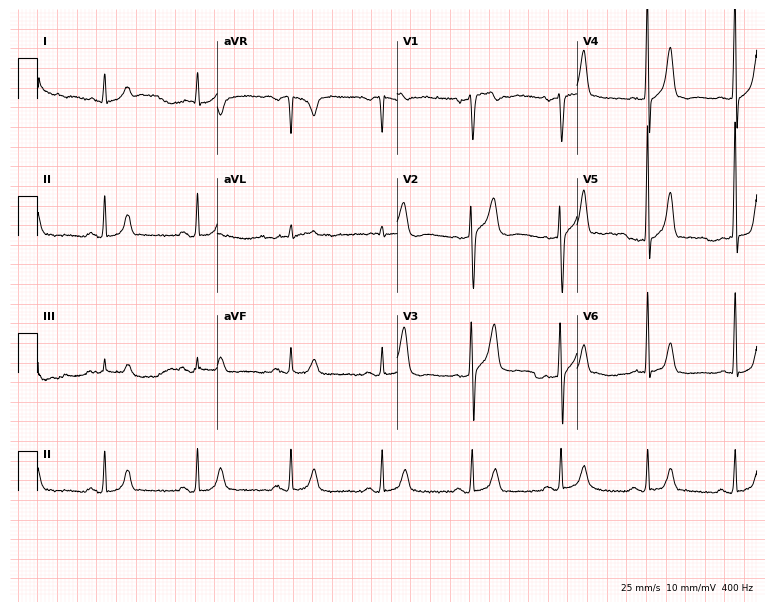
Standard 12-lead ECG recorded from a male patient, 73 years old (7.3-second recording at 400 Hz). None of these six findings is recorded: first-degree AV block, right bundle branch block, left bundle branch block, sinus bradycardia, atrial fibrillation, sinus tachycardia. Findings outside these six are not listed.